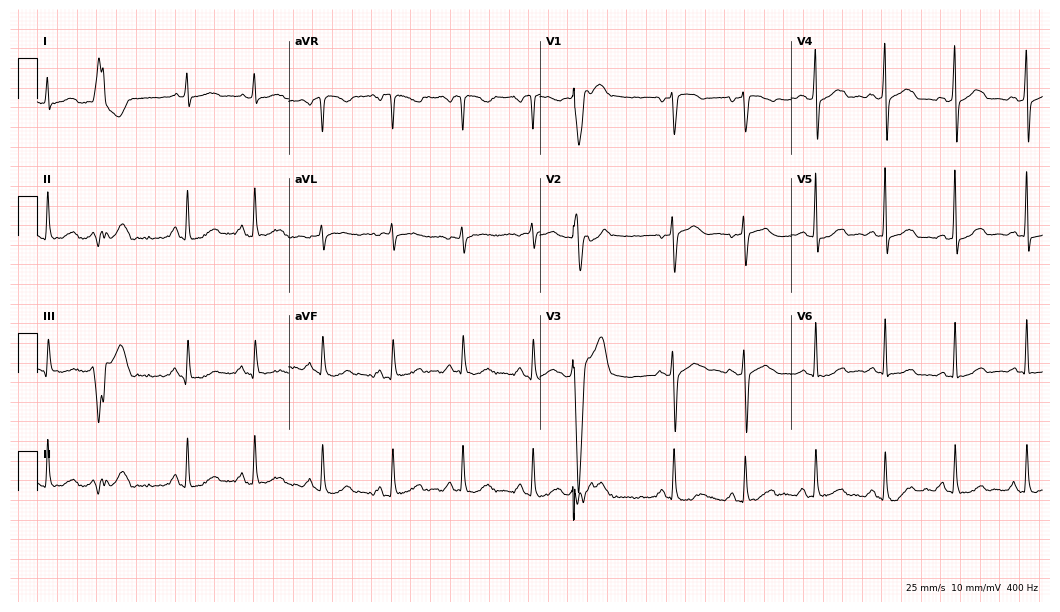
12-lead ECG from a woman, 56 years old (10.2-second recording at 400 Hz). No first-degree AV block, right bundle branch block, left bundle branch block, sinus bradycardia, atrial fibrillation or sinus tachycardia recorded for this tracing. Other findings, if any, are not listed.